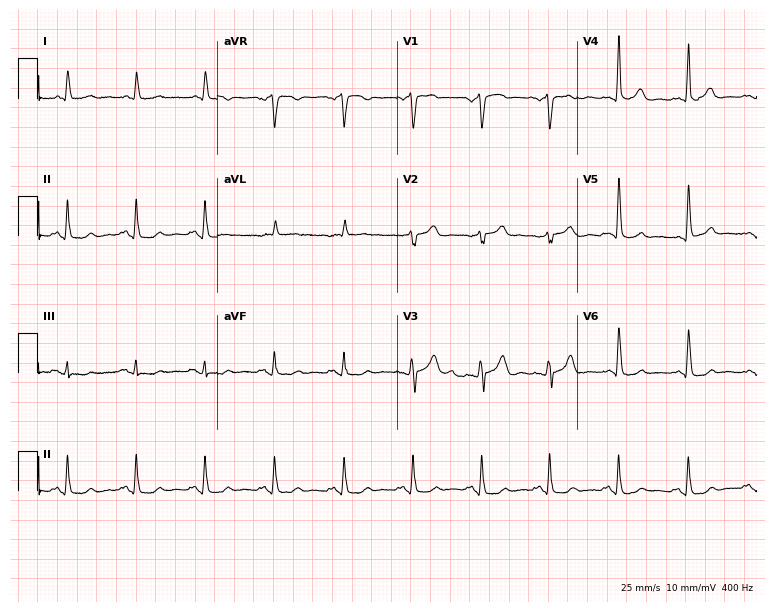
ECG — a man, 80 years old. Screened for six findings — first-degree AV block, right bundle branch block, left bundle branch block, sinus bradycardia, atrial fibrillation, sinus tachycardia — none is recorded.